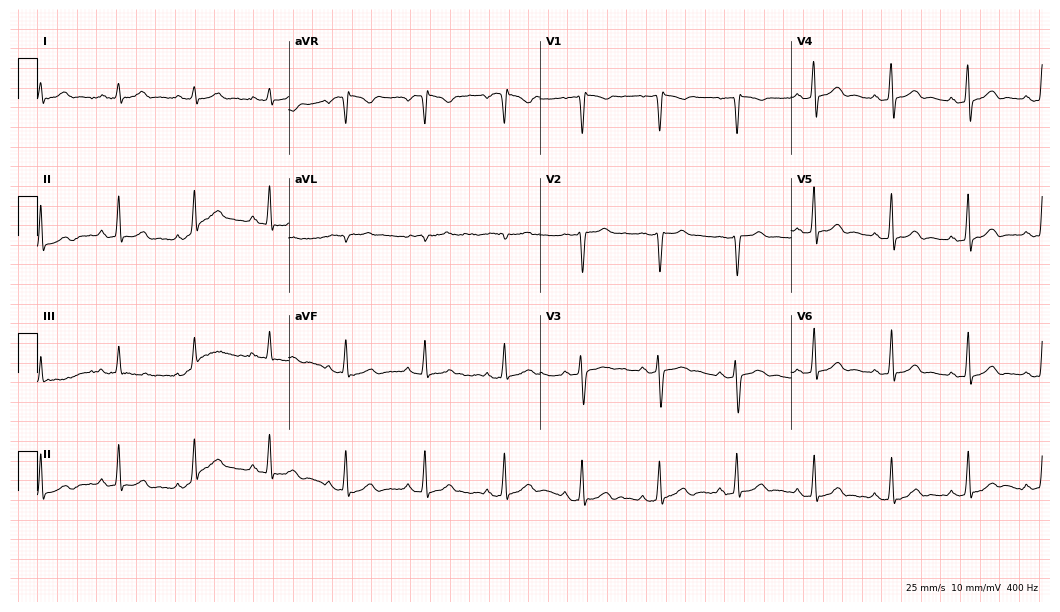
12-lead ECG from a male, 38 years old. Screened for six findings — first-degree AV block, right bundle branch block (RBBB), left bundle branch block (LBBB), sinus bradycardia, atrial fibrillation (AF), sinus tachycardia — none is recorded. Findings outside these six are not listed.